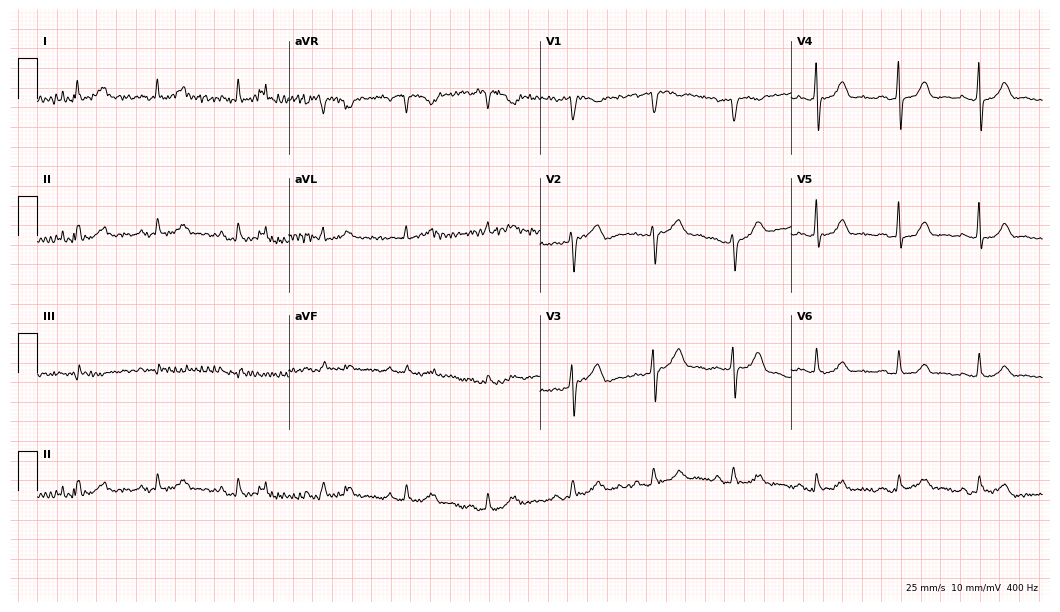
Standard 12-lead ECG recorded from a 51-year-old female (10.2-second recording at 400 Hz). Read as a normal ECG.